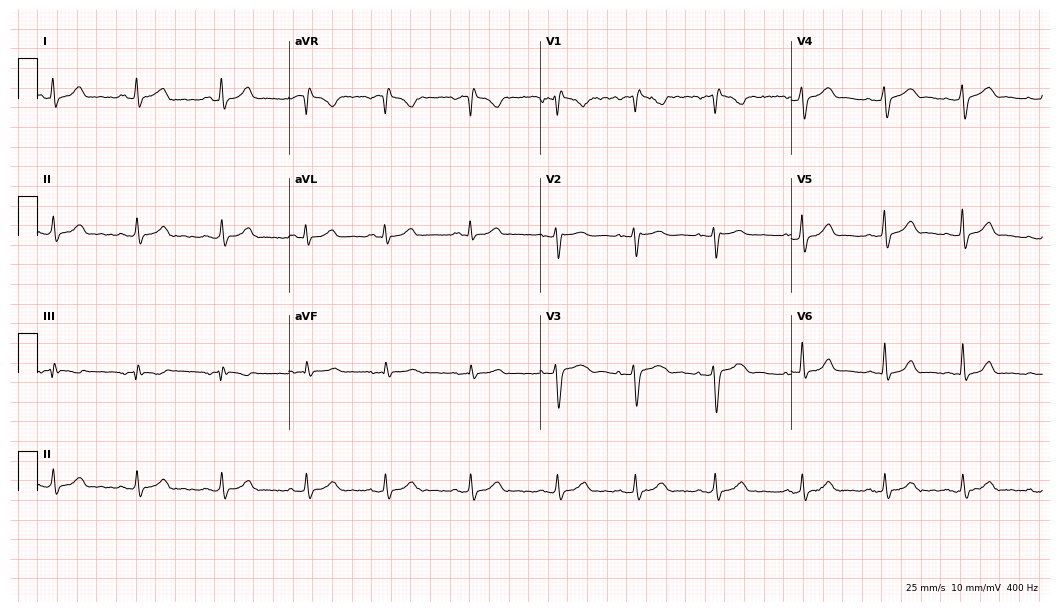
12-lead ECG from a 21-year-old female. Labelled as a normal ECG.